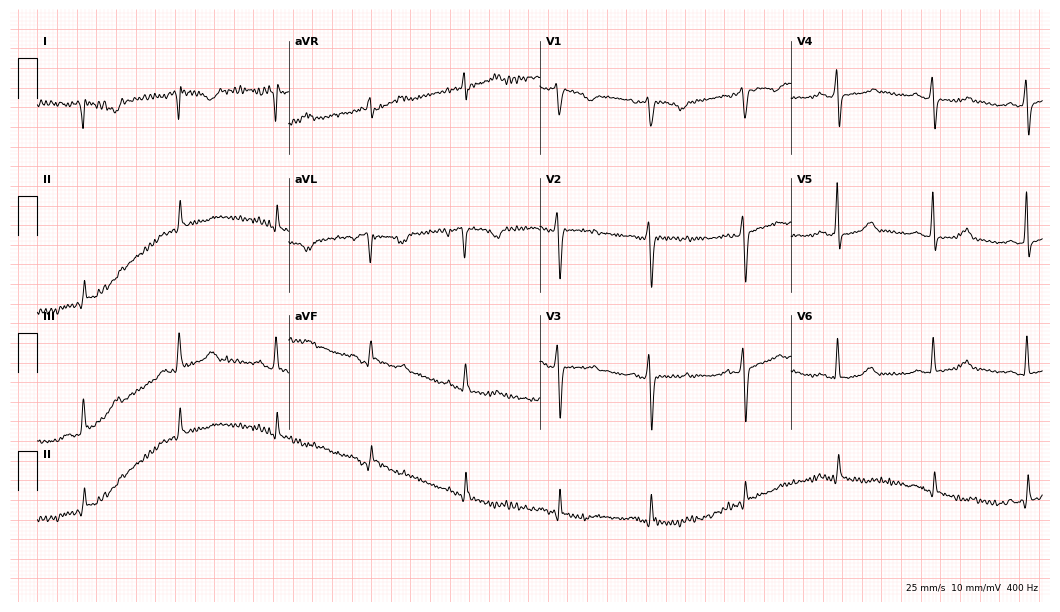
12-lead ECG from a woman, 49 years old. Screened for six findings — first-degree AV block, right bundle branch block (RBBB), left bundle branch block (LBBB), sinus bradycardia, atrial fibrillation (AF), sinus tachycardia — none is recorded.